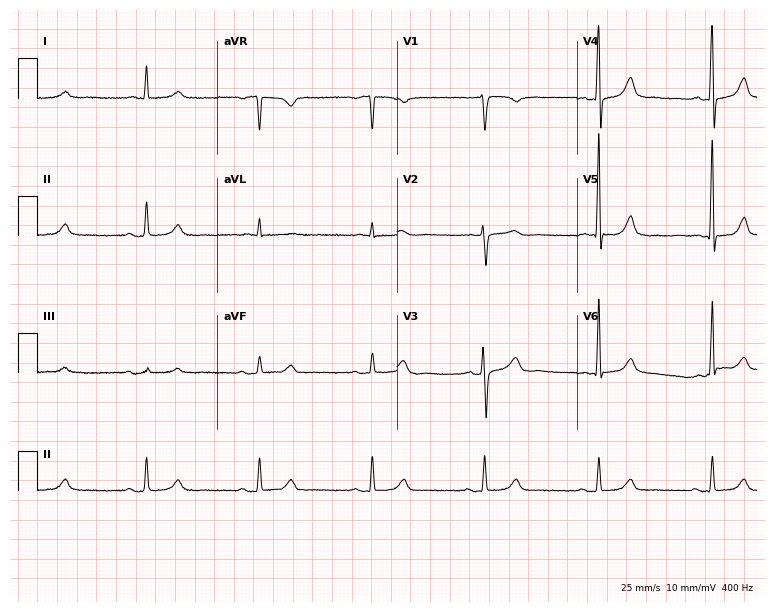
Electrocardiogram (7.3-second recording at 400 Hz), a 75-year-old male patient. Overall reading on record: normal ECG.